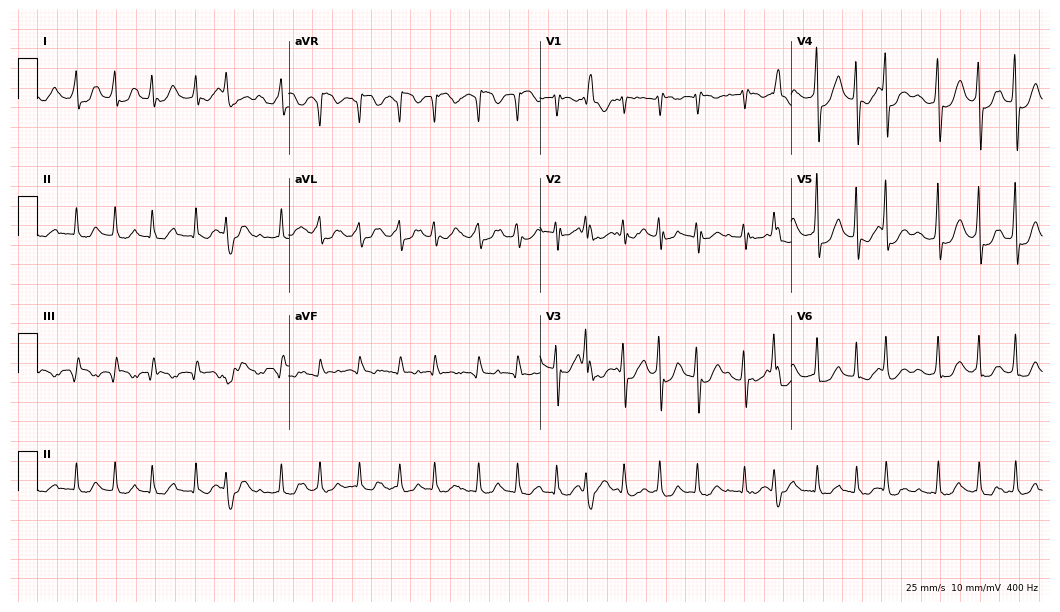
12-lead ECG from a 73-year-old woman. Findings include atrial fibrillation.